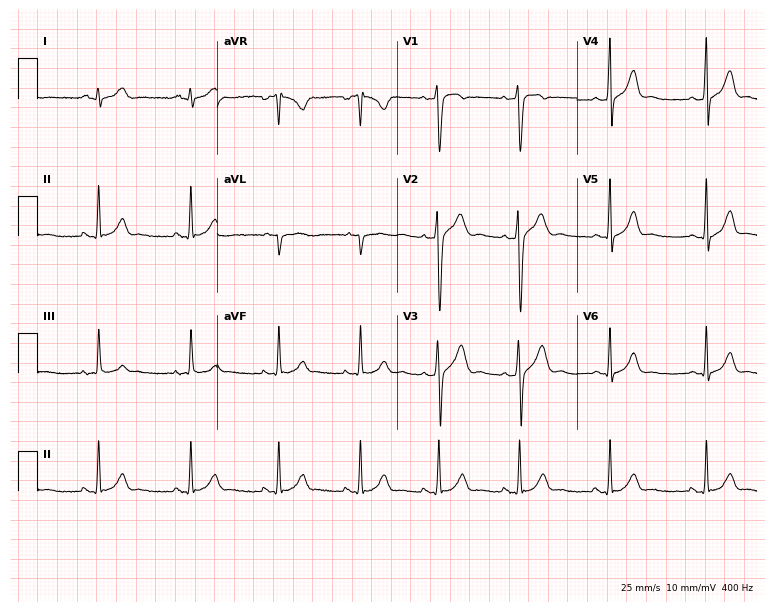
Resting 12-lead electrocardiogram (7.3-second recording at 400 Hz). Patient: a male, 27 years old. Read as a normal ECG.